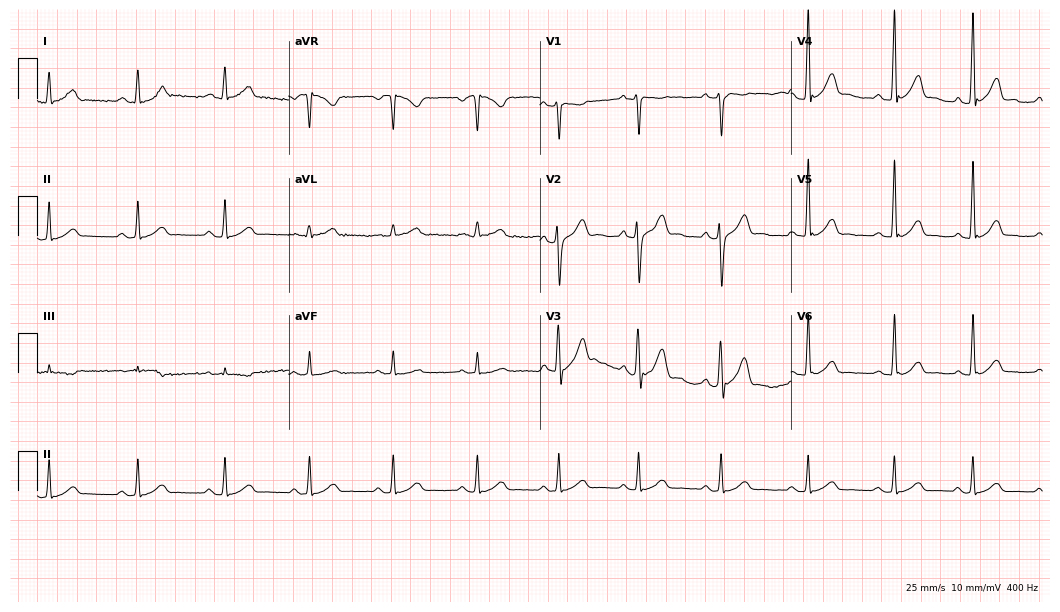
Standard 12-lead ECG recorded from a 42-year-old man (10.2-second recording at 400 Hz). Read as a normal ECG.